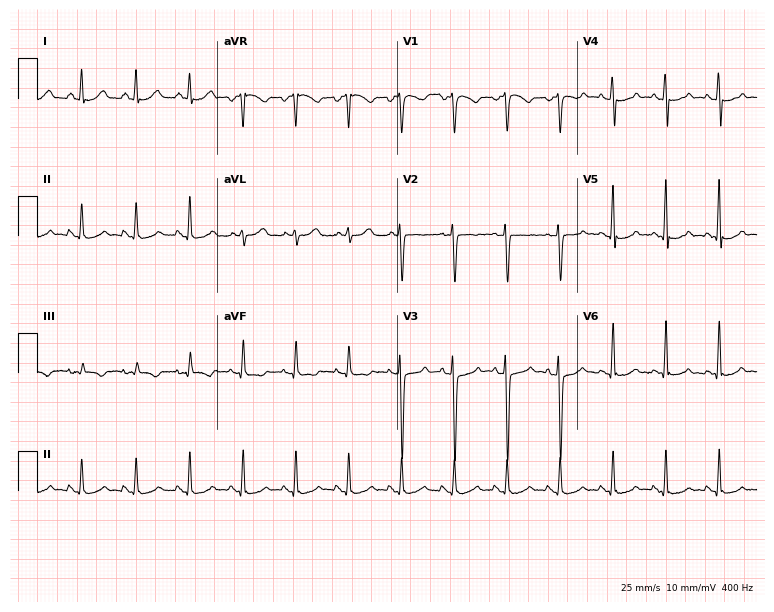
Standard 12-lead ECG recorded from a 28-year-old woman. The tracing shows sinus tachycardia (a sinus rate of 100 beats per minute or more).